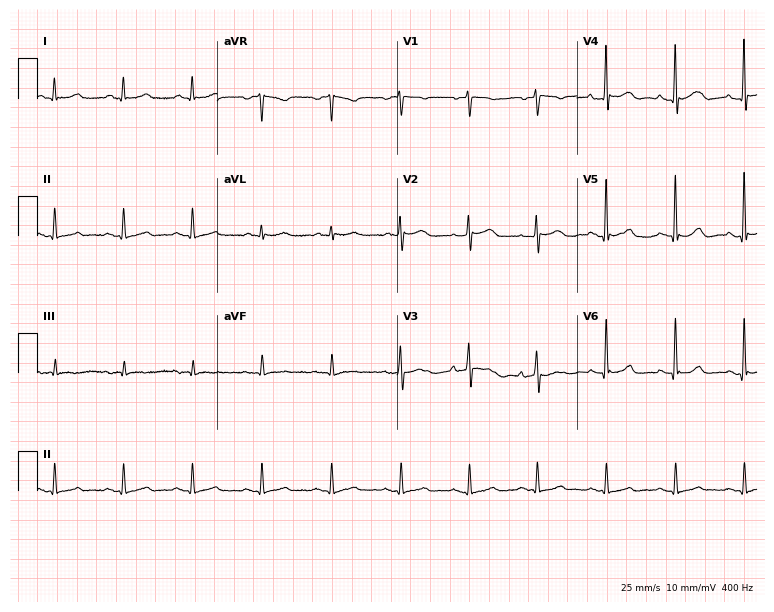
12-lead ECG from a man, 68 years old (7.3-second recording at 400 Hz). Recorded interpretation: within normal limits.